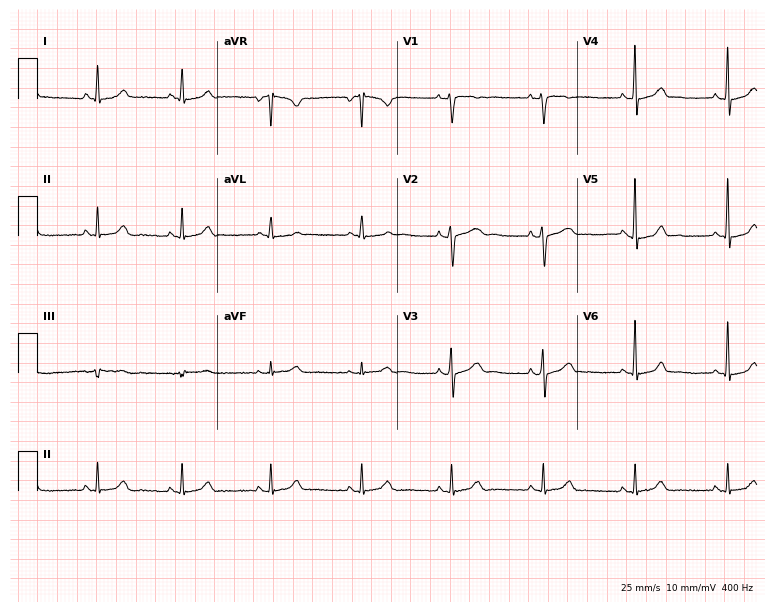
Electrocardiogram, a female, 32 years old. Of the six screened findings (first-degree AV block, right bundle branch block, left bundle branch block, sinus bradycardia, atrial fibrillation, sinus tachycardia), none is recorded.